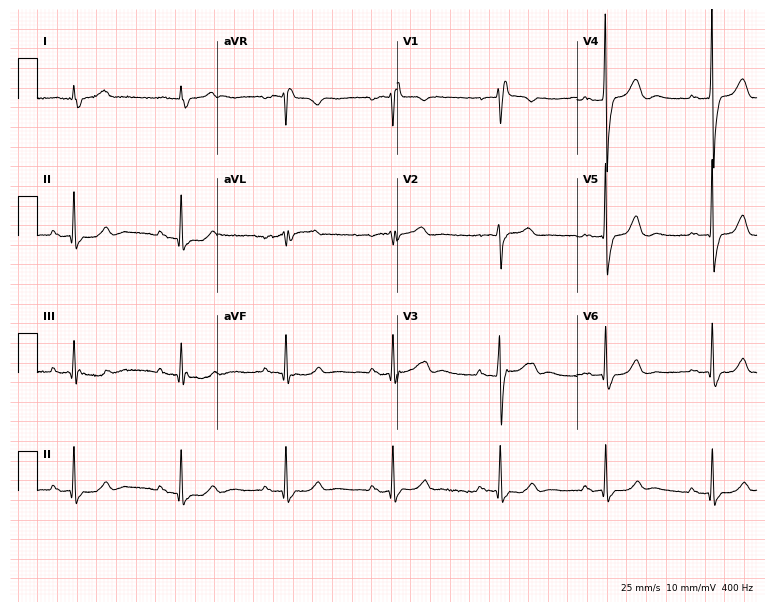
12-lead ECG from a female patient, 74 years old. Findings include right bundle branch block.